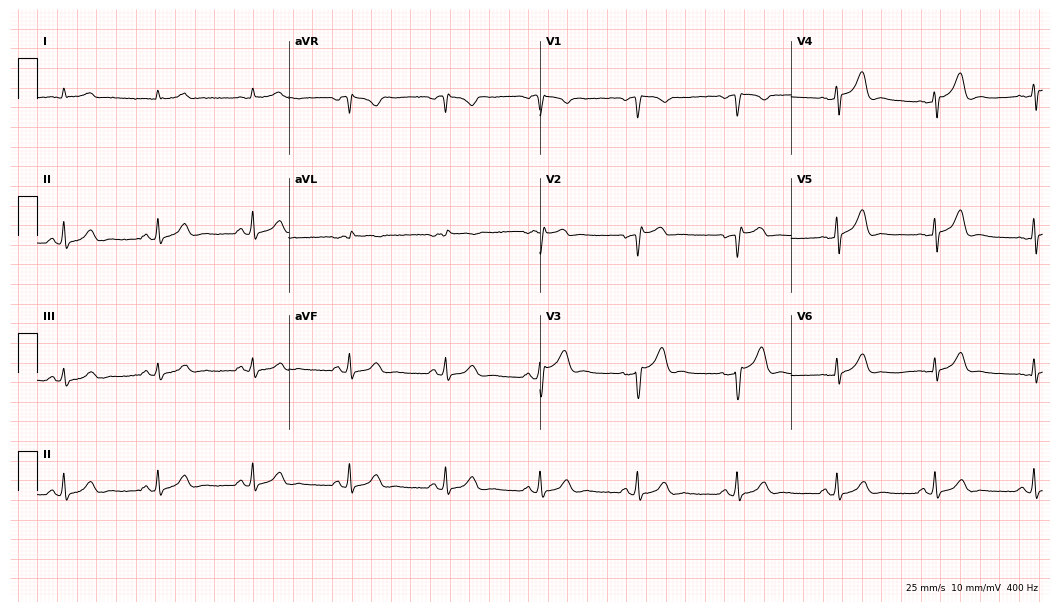
ECG — a 58-year-old male patient. Labelled as a normal ECG.